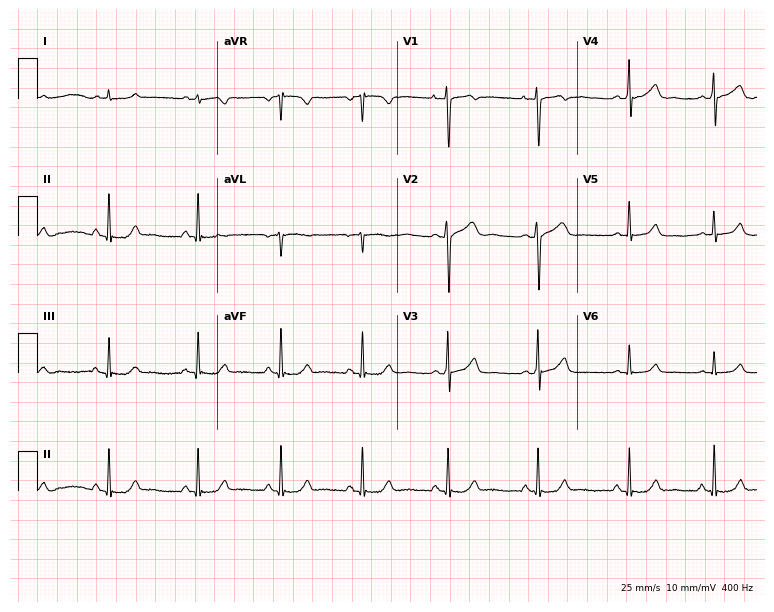
Resting 12-lead electrocardiogram (7.3-second recording at 400 Hz). Patient: a 24-year-old woman. Read as a normal ECG.